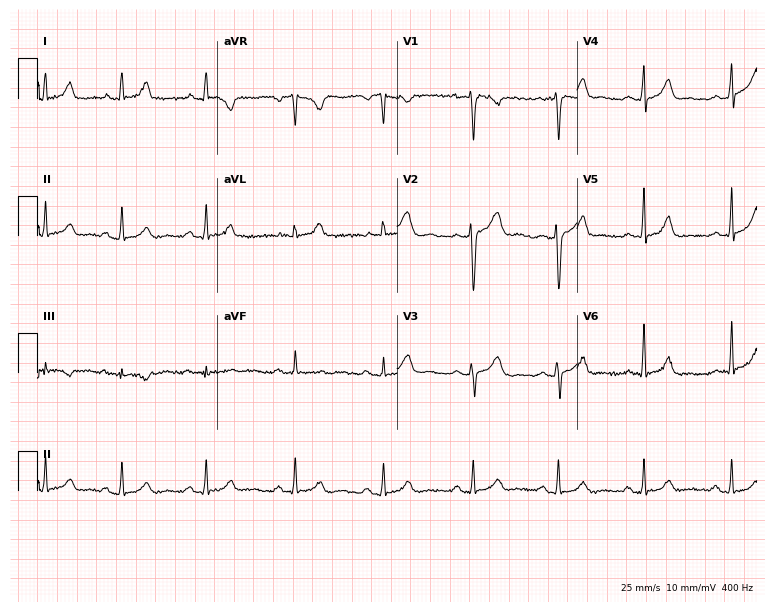
12-lead ECG from a 21-year-old woman (7.3-second recording at 400 Hz). Recorded interpretation: within normal limits.